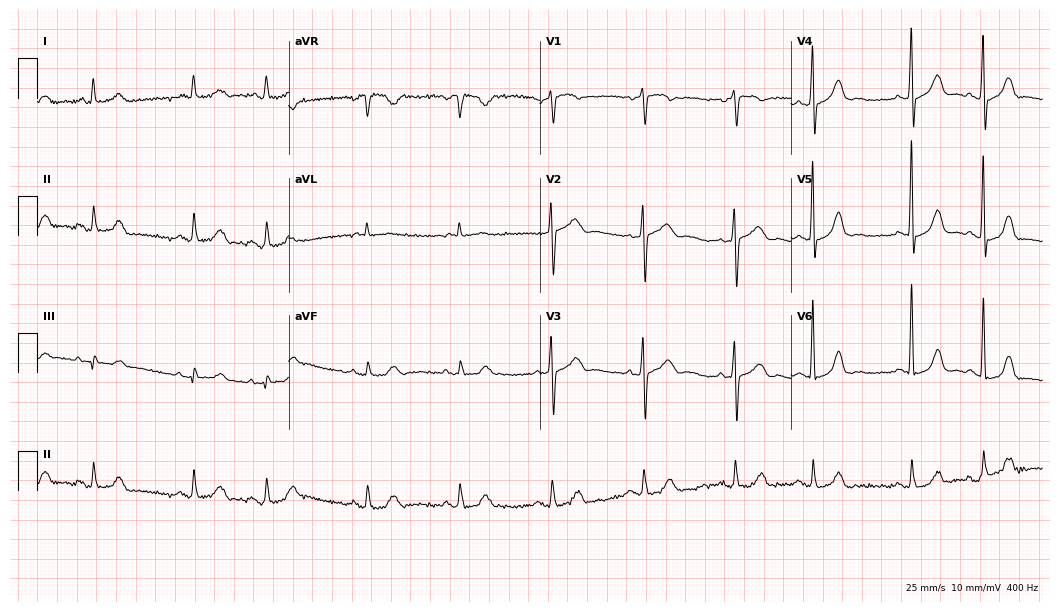
Resting 12-lead electrocardiogram (10.2-second recording at 400 Hz). Patient: a 69-year-old female. None of these six findings is recorded: first-degree AV block, right bundle branch block (RBBB), left bundle branch block (LBBB), sinus bradycardia, atrial fibrillation (AF), sinus tachycardia. Other findings, if any, are not listed.